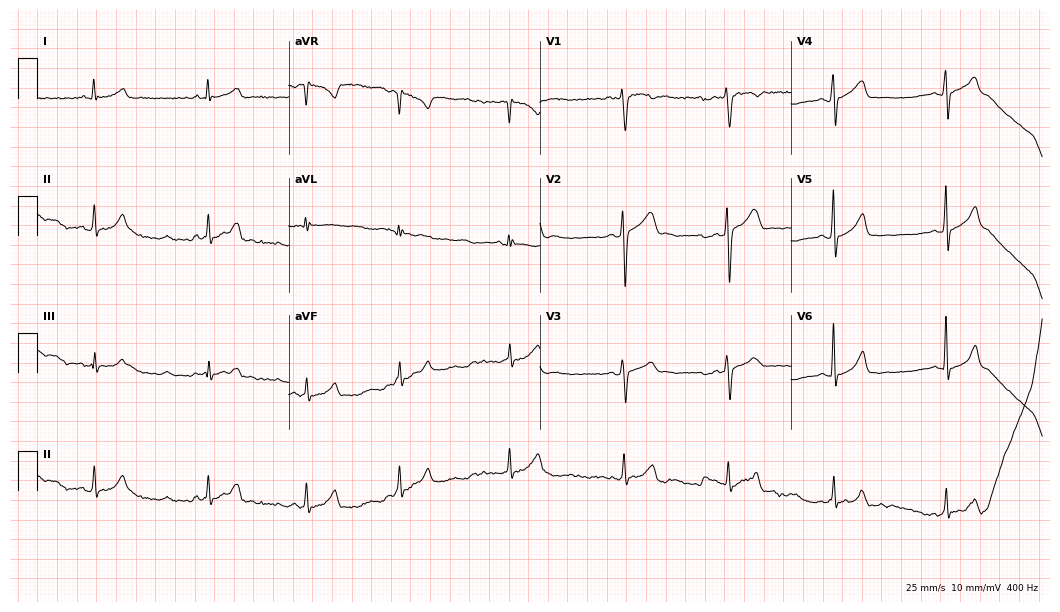
Standard 12-lead ECG recorded from a 25-year-old male patient. Read as a normal ECG.